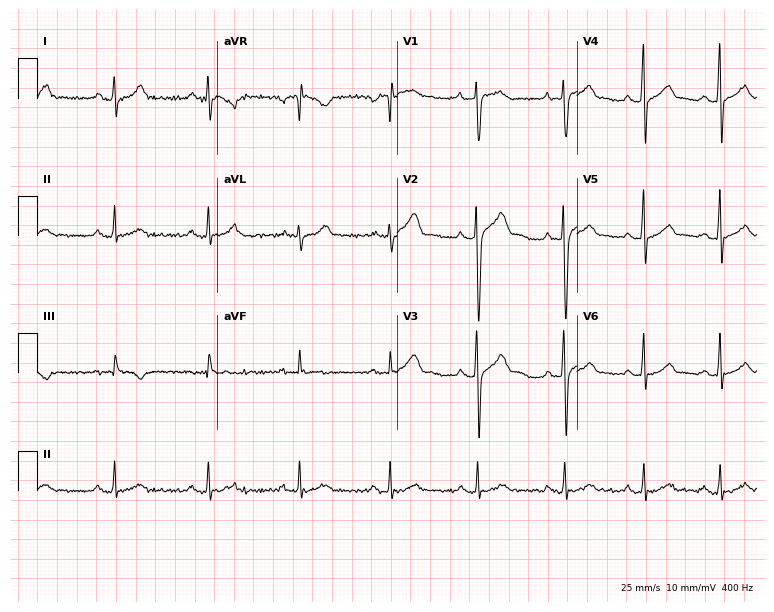
Standard 12-lead ECG recorded from a male patient, 36 years old. Read as a normal ECG.